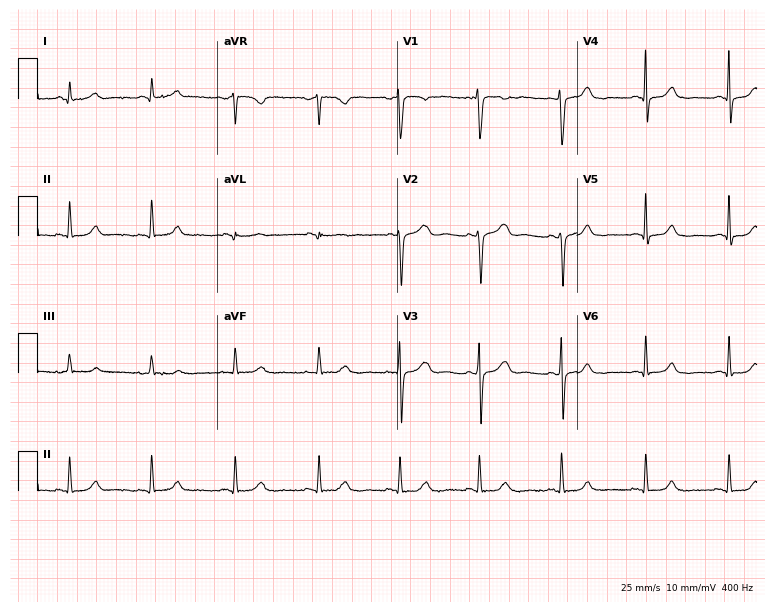
12-lead ECG (7.3-second recording at 400 Hz) from a woman, 34 years old. Labelled as a normal ECG.